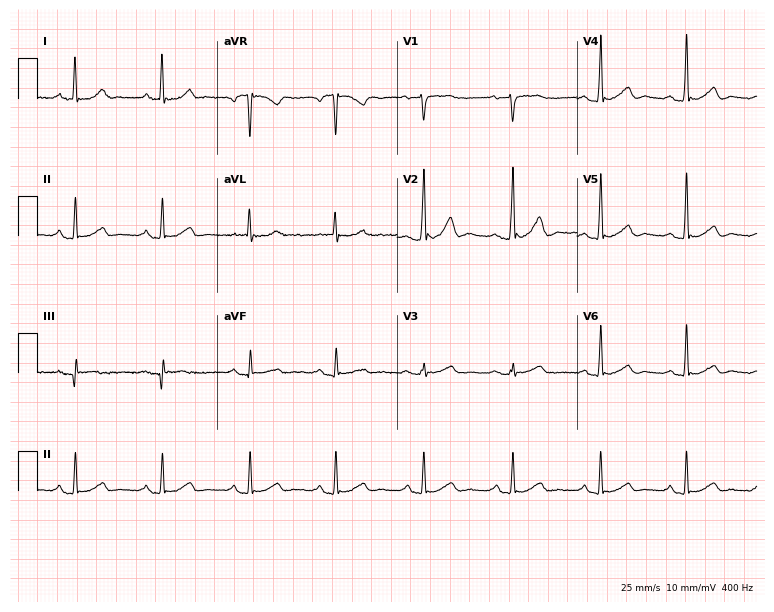
12-lead ECG from a female, 68 years old (7.3-second recording at 400 Hz). No first-degree AV block, right bundle branch block, left bundle branch block, sinus bradycardia, atrial fibrillation or sinus tachycardia recorded for this tracing. Other findings, if any, are not listed.